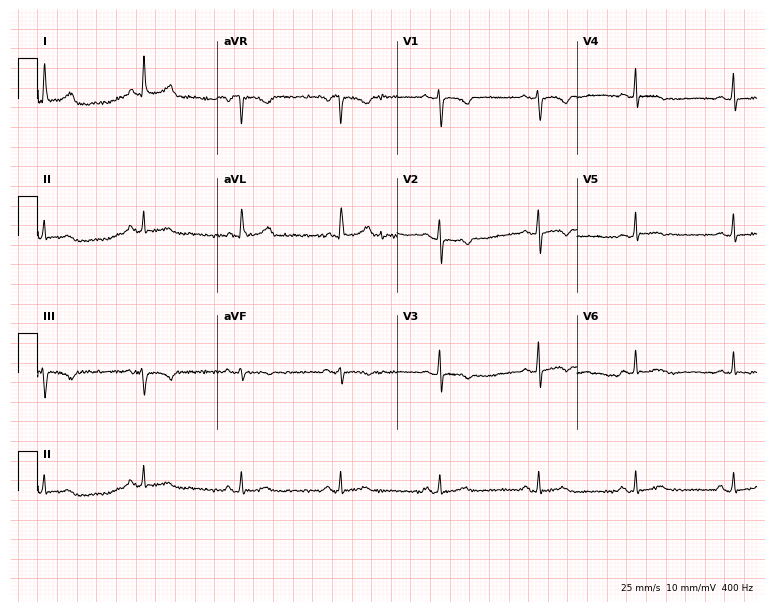
Electrocardiogram (7.3-second recording at 400 Hz), a woman, 56 years old. Of the six screened findings (first-degree AV block, right bundle branch block, left bundle branch block, sinus bradycardia, atrial fibrillation, sinus tachycardia), none is recorded. Other findings, if any, are not listed.